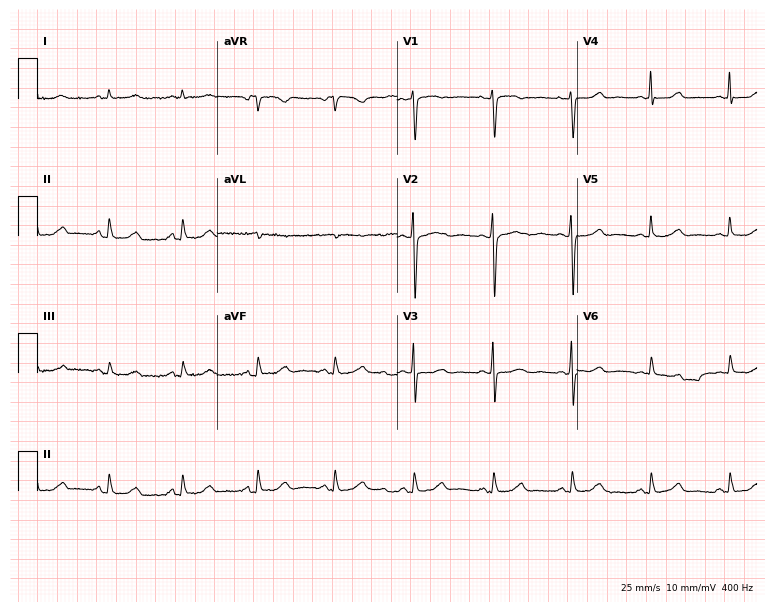
12-lead ECG from a 72-year-old woman. Labelled as a normal ECG.